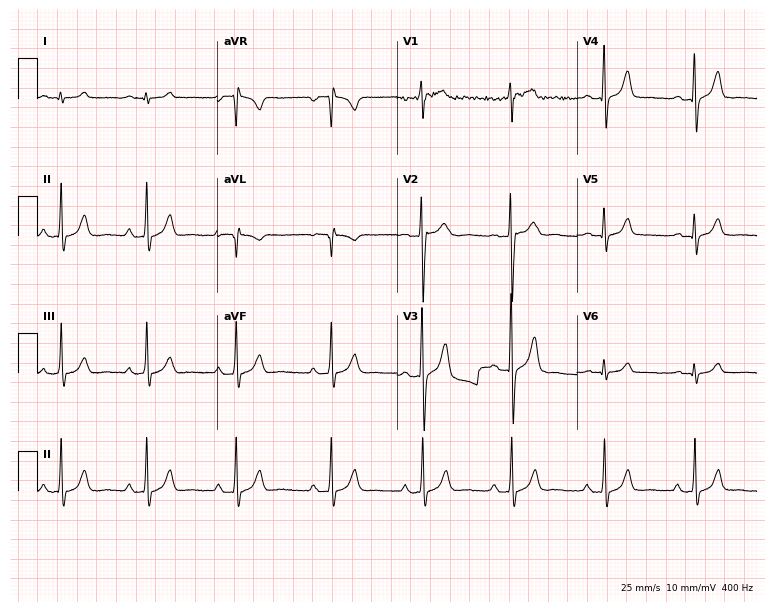
ECG (7.3-second recording at 400 Hz) — a male, 22 years old. Labelled as a normal ECG.